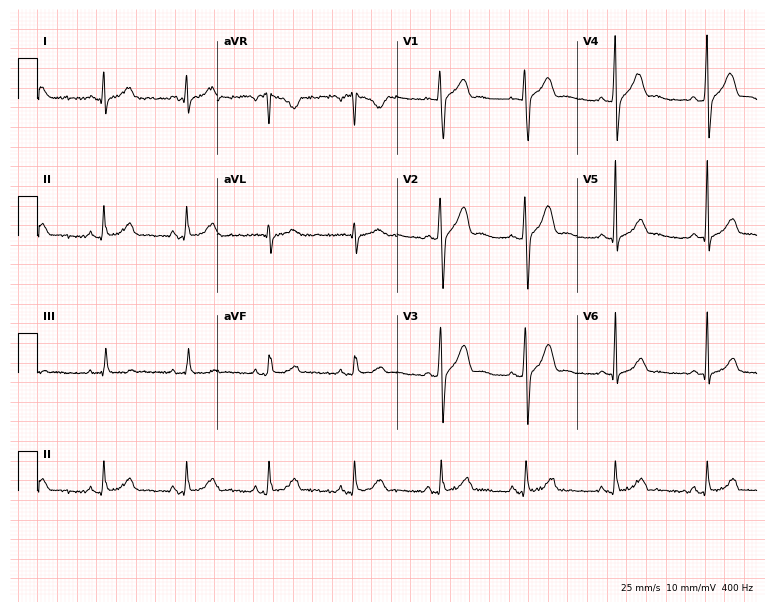
12-lead ECG from a 24-year-old male (7.3-second recording at 400 Hz). Recorded interpretation: within normal limits.